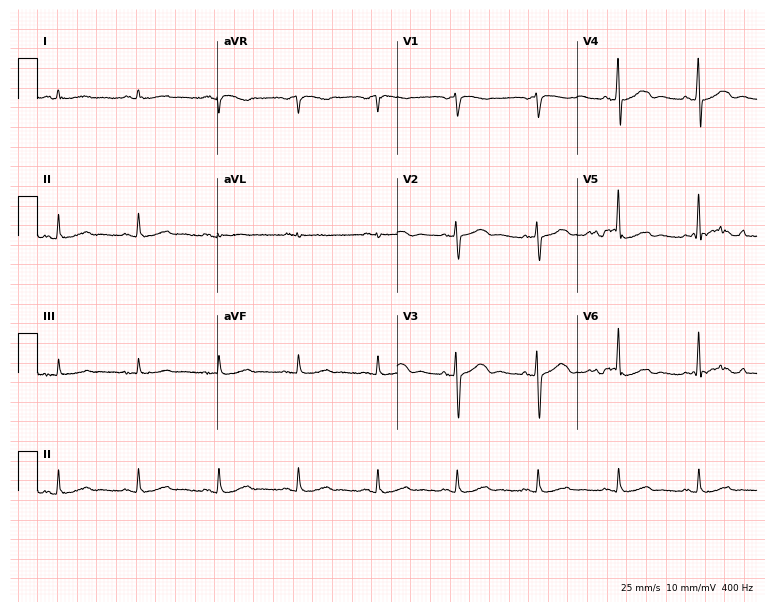
Resting 12-lead electrocardiogram (7.3-second recording at 400 Hz). Patient: a female, 58 years old. None of these six findings is recorded: first-degree AV block, right bundle branch block, left bundle branch block, sinus bradycardia, atrial fibrillation, sinus tachycardia. Only these six findings were labelled.